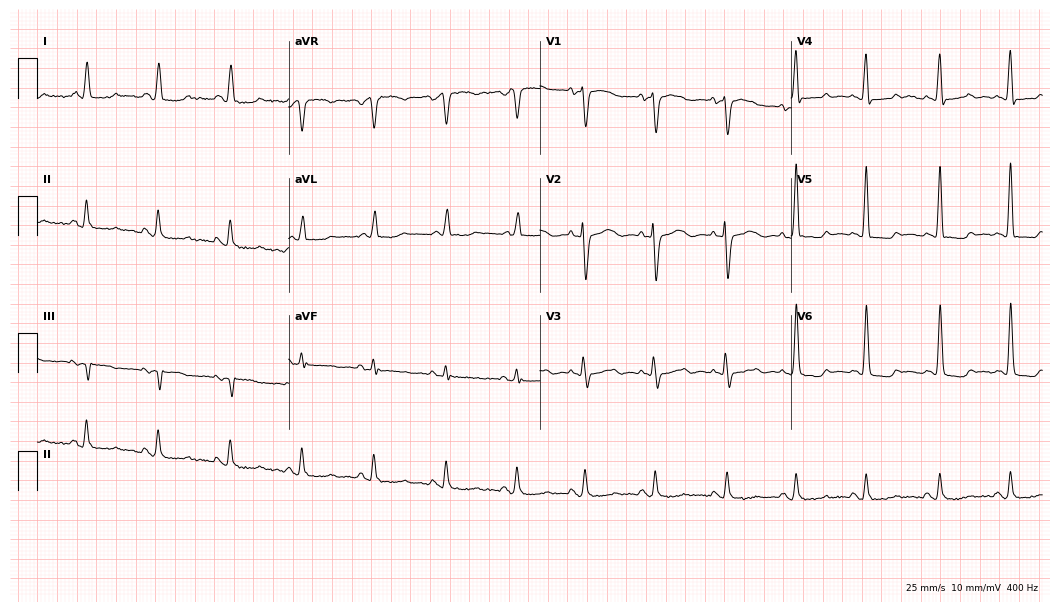
ECG — a female patient, 77 years old. Screened for six findings — first-degree AV block, right bundle branch block (RBBB), left bundle branch block (LBBB), sinus bradycardia, atrial fibrillation (AF), sinus tachycardia — none is recorded.